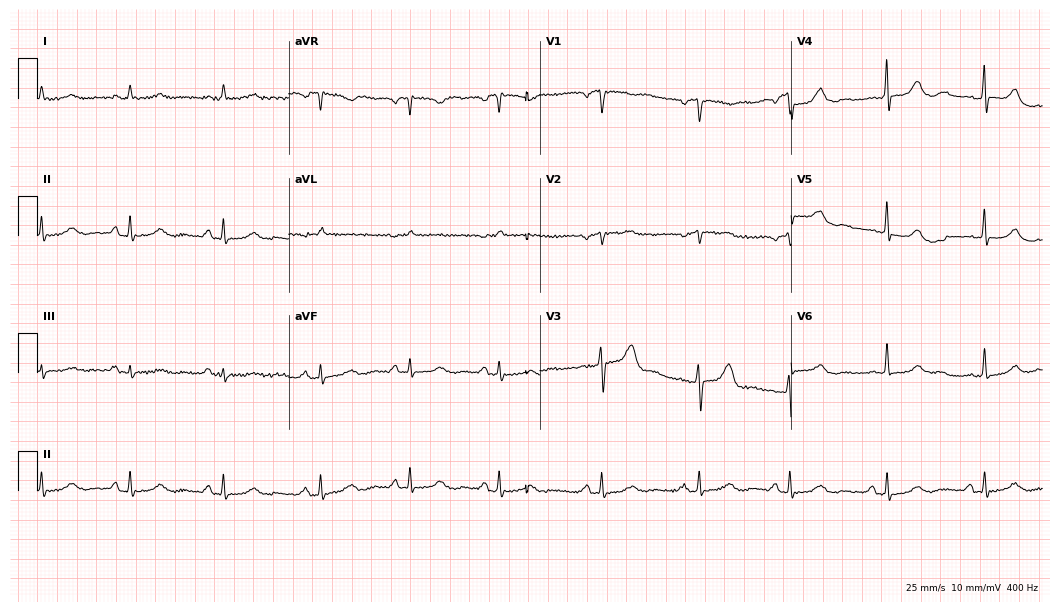
12-lead ECG (10.2-second recording at 400 Hz) from a female patient, 64 years old. Labelled as a normal ECG.